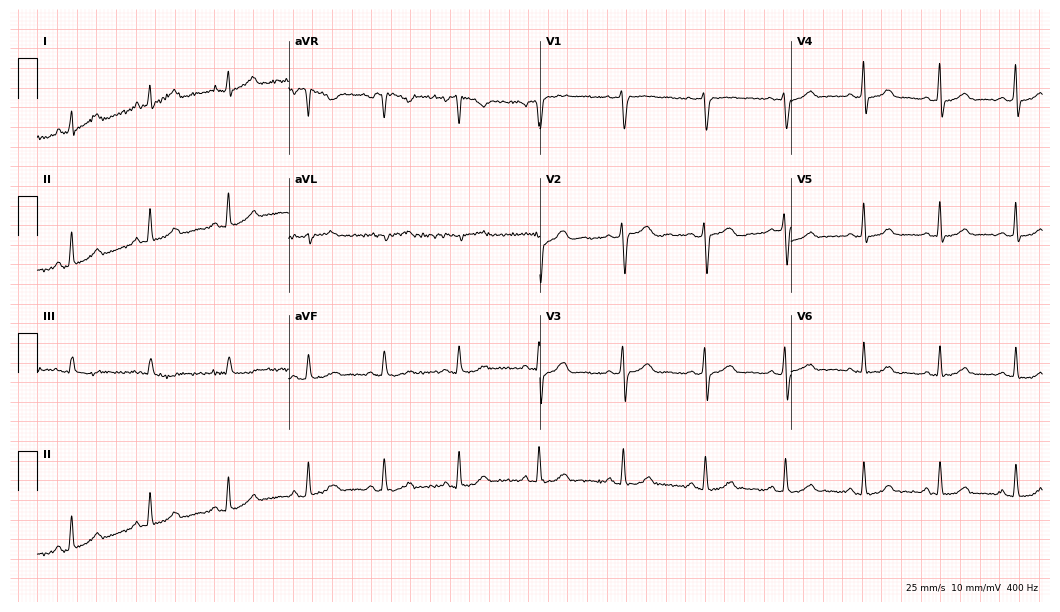
ECG — a woman, 43 years old. Labelled as a normal ECG.